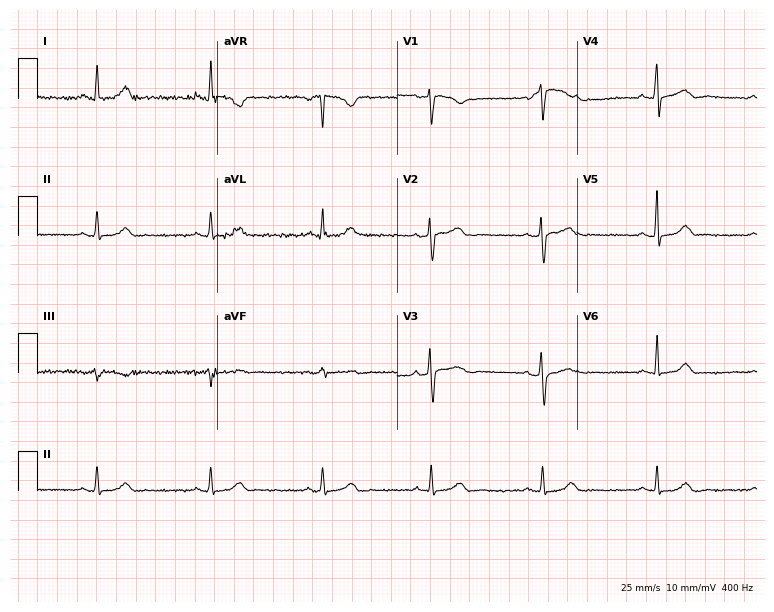
Electrocardiogram (7.3-second recording at 400 Hz), a female, 48 years old. Overall reading on record: normal ECG.